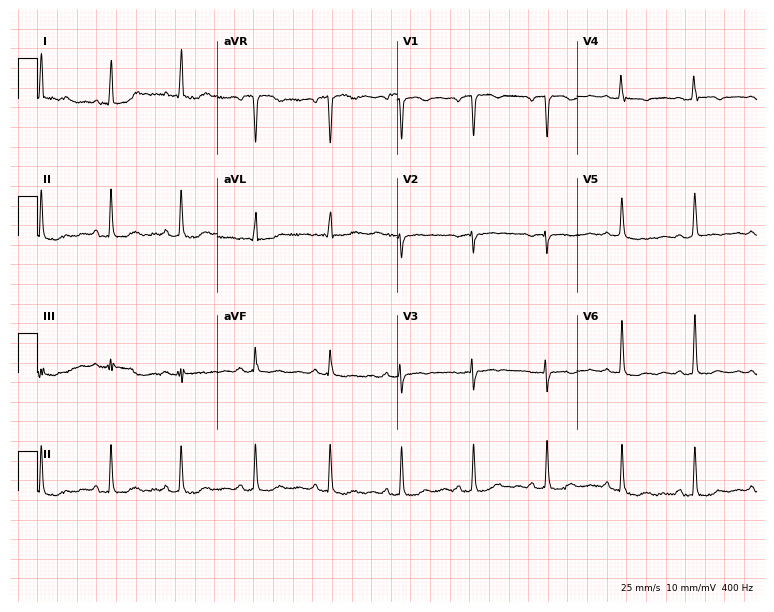
Resting 12-lead electrocardiogram (7.3-second recording at 400 Hz). Patient: a woman, 56 years old. Read as a normal ECG.